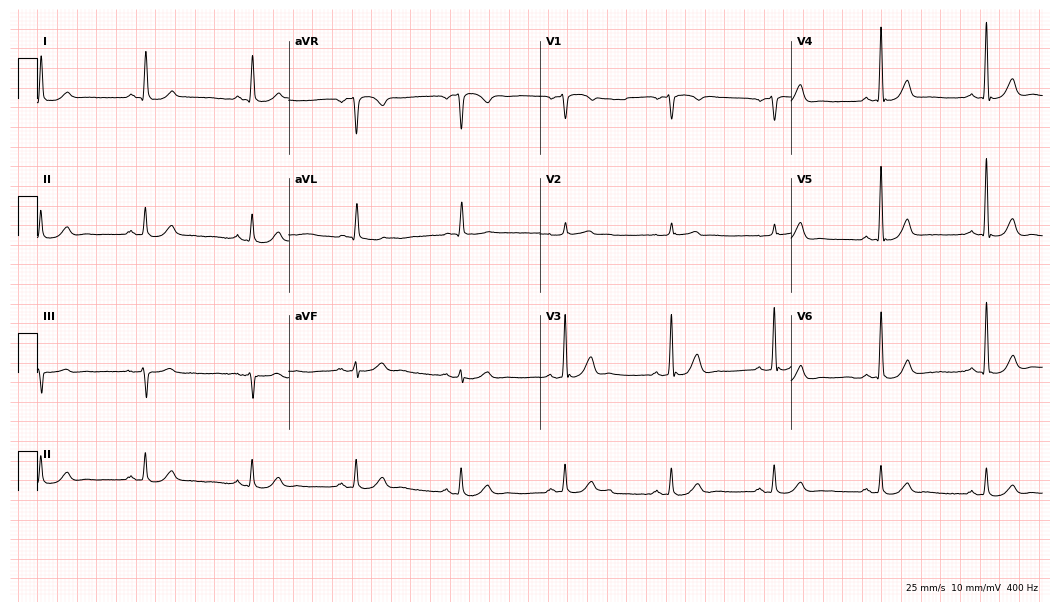
Resting 12-lead electrocardiogram. Patient: a male, 73 years old. Read as a normal ECG.